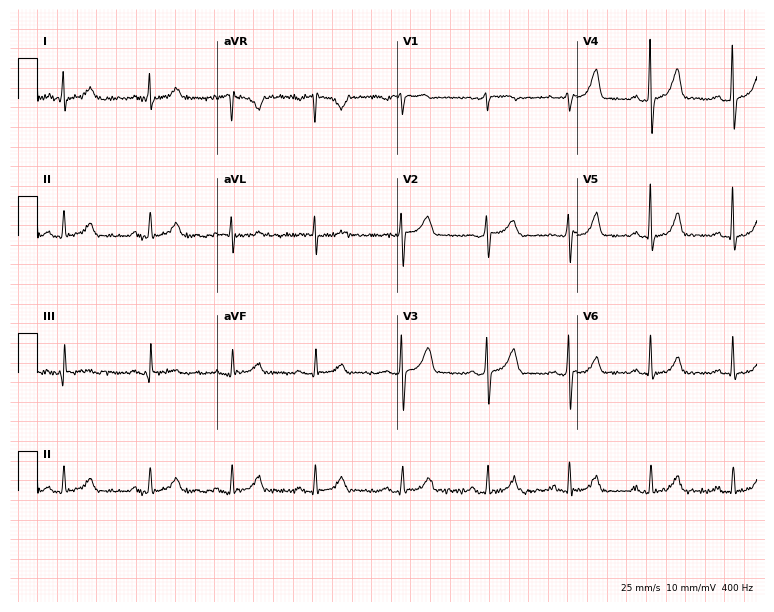
Electrocardiogram, a 50-year-old woman. Of the six screened findings (first-degree AV block, right bundle branch block (RBBB), left bundle branch block (LBBB), sinus bradycardia, atrial fibrillation (AF), sinus tachycardia), none is recorded.